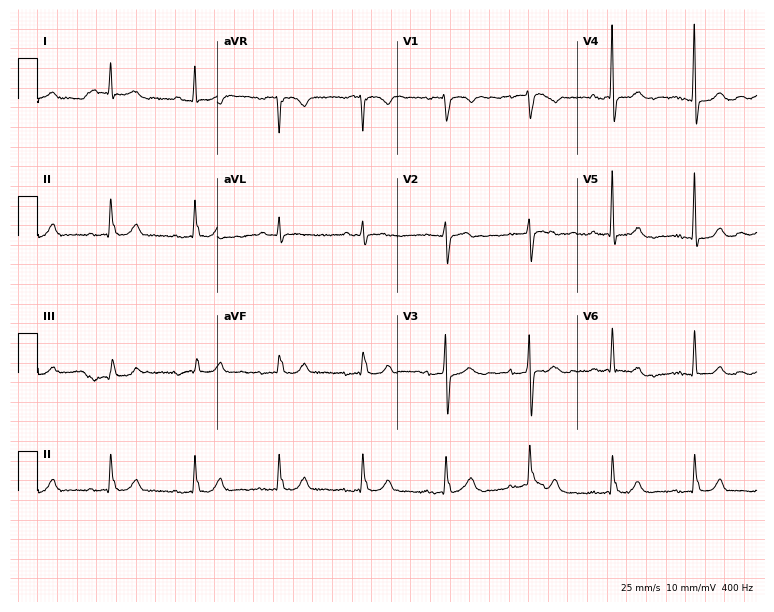
12-lead ECG from a male, 79 years old (7.3-second recording at 400 Hz). No first-degree AV block, right bundle branch block, left bundle branch block, sinus bradycardia, atrial fibrillation or sinus tachycardia recorded for this tracing.